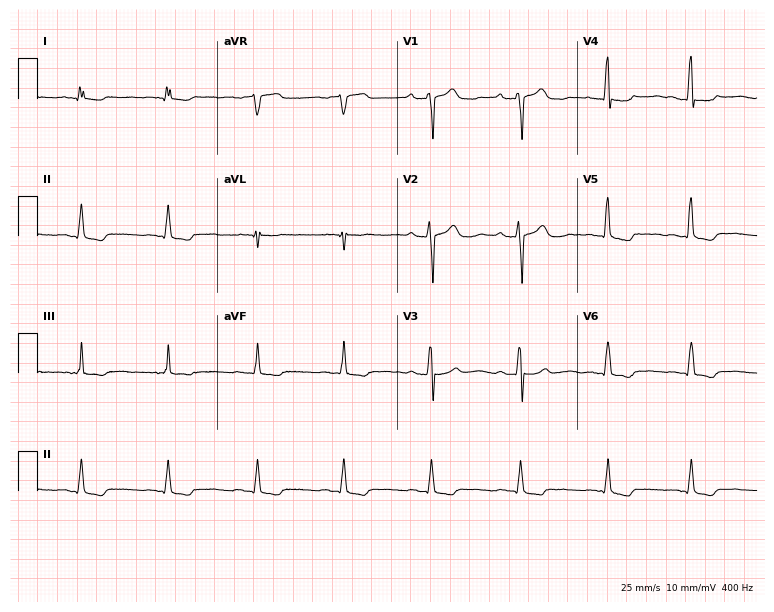
Standard 12-lead ECG recorded from a 56-year-old male patient. None of these six findings is recorded: first-degree AV block, right bundle branch block, left bundle branch block, sinus bradycardia, atrial fibrillation, sinus tachycardia.